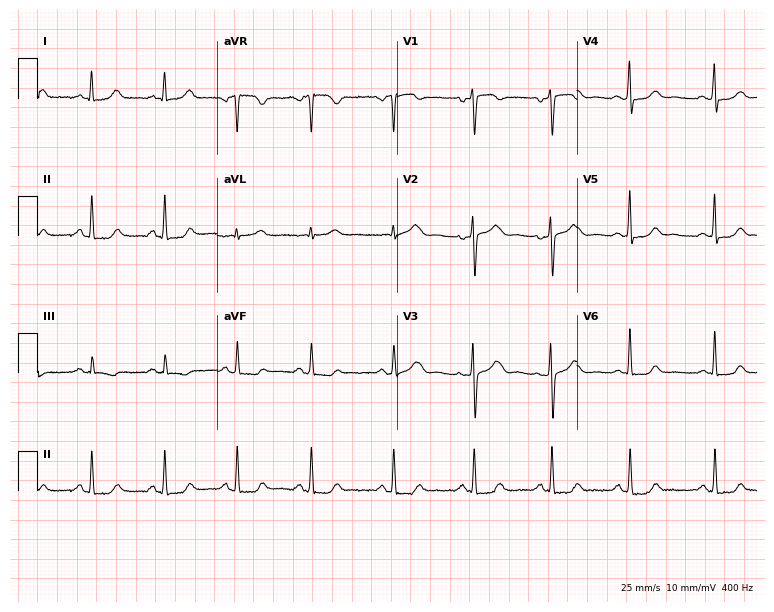
12-lead ECG from a 43-year-old female patient. Labelled as a normal ECG.